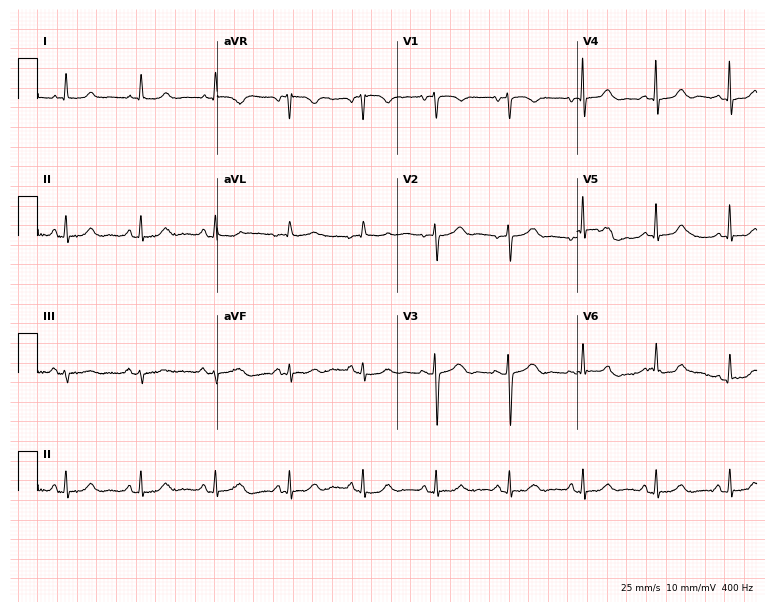
ECG (7.3-second recording at 400 Hz) — a 71-year-old female patient. Labelled as a normal ECG.